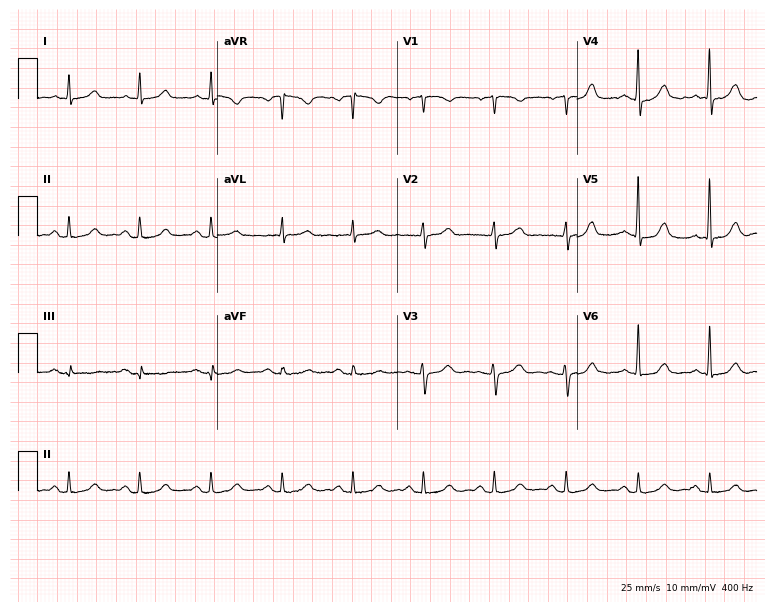
Electrocardiogram, a 69-year-old woman. Of the six screened findings (first-degree AV block, right bundle branch block, left bundle branch block, sinus bradycardia, atrial fibrillation, sinus tachycardia), none is recorded.